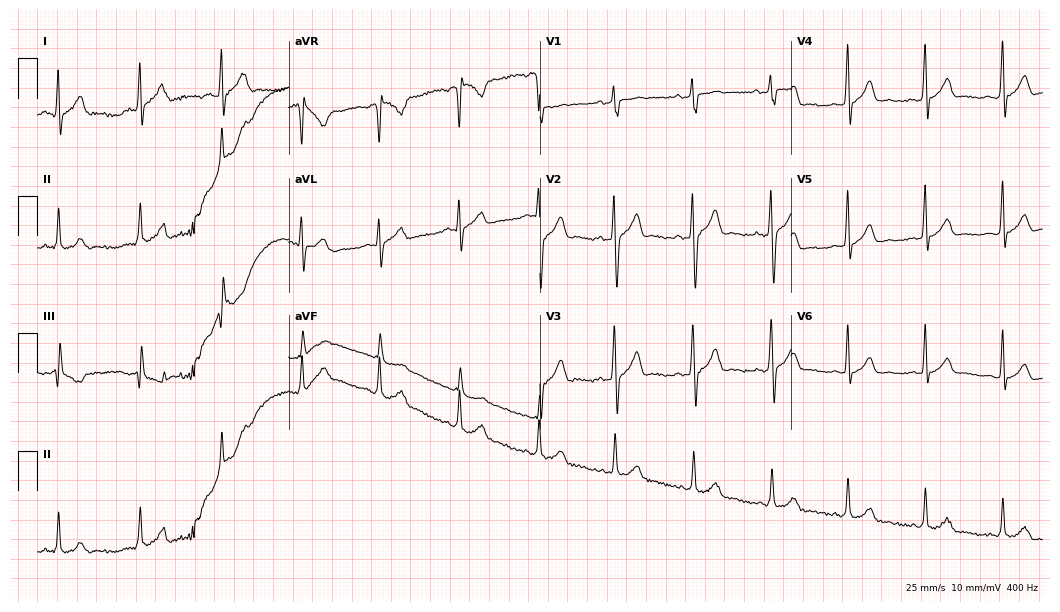
Electrocardiogram (10.2-second recording at 400 Hz), a 29-year-old male. Of the six screened findings (first-degree AV block, right bundle branch block, left bundle branch block, sinus bradycardia, atrial fibrillation, sinus tachycardia), none is recorded.